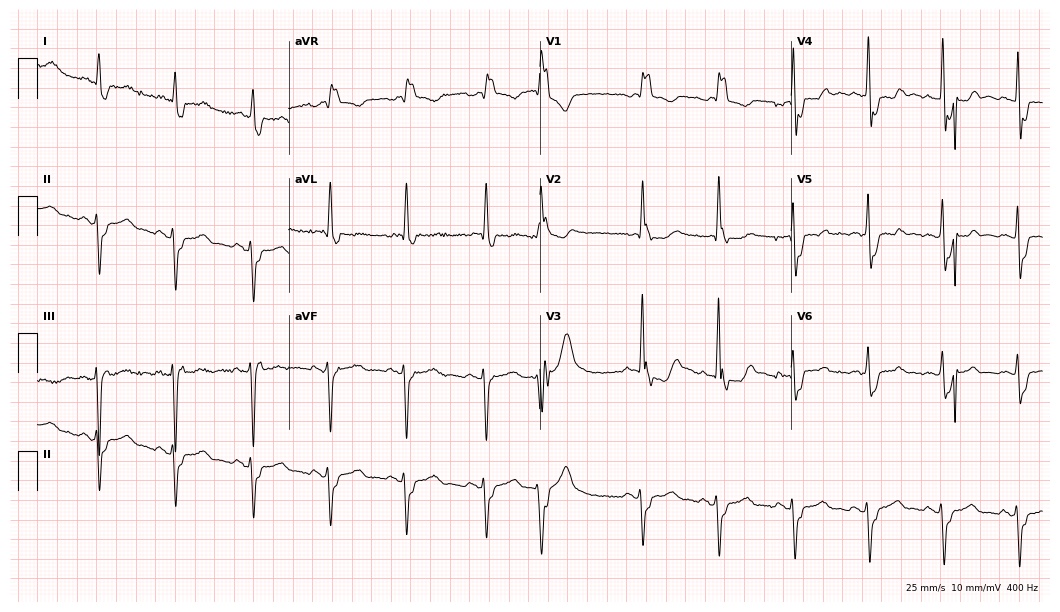
Electrocardiogram, a man, 70 years old. Interpretation includes right bundle branch block (RBBB).